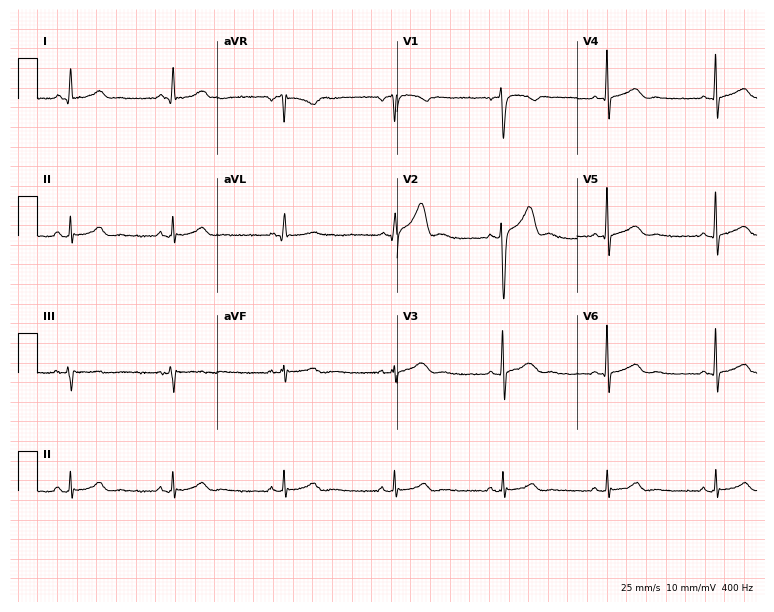
Electrocardiogram (7.3-second recording at 400 Hz), a 42-year-old man. Of the six screened findings (first-degree AV block, right bundle branch block, left bundle branch block, sinus bradycardia, atrial fibrillation, sinus tachycardia), none is recorded. Other findings, if any, are not listed.